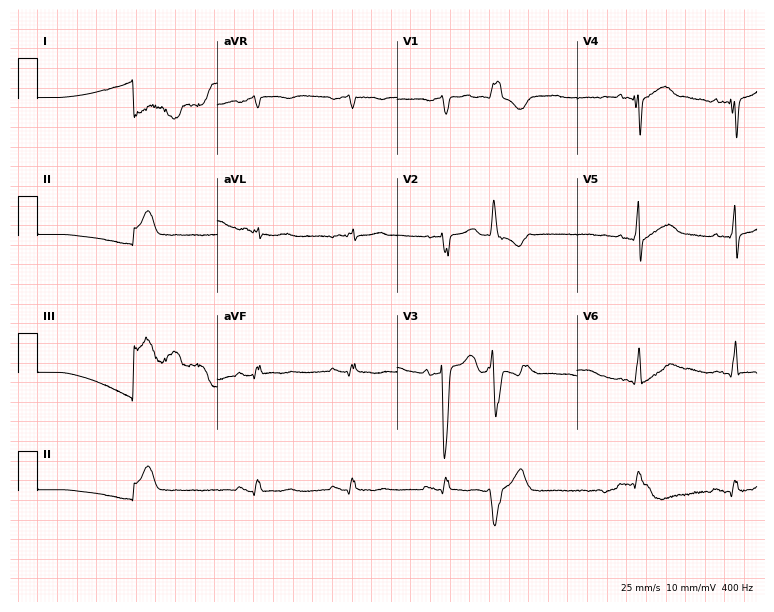
ECG (7.3-second recording at 400 Hz) — a male patient, 41 years old. Screened for six findings — first-degree AV block, right bundle branch block, left bundle branch block, sinus bradycardia, atrial fibrillation, sinus tachycardia — none is recorded.